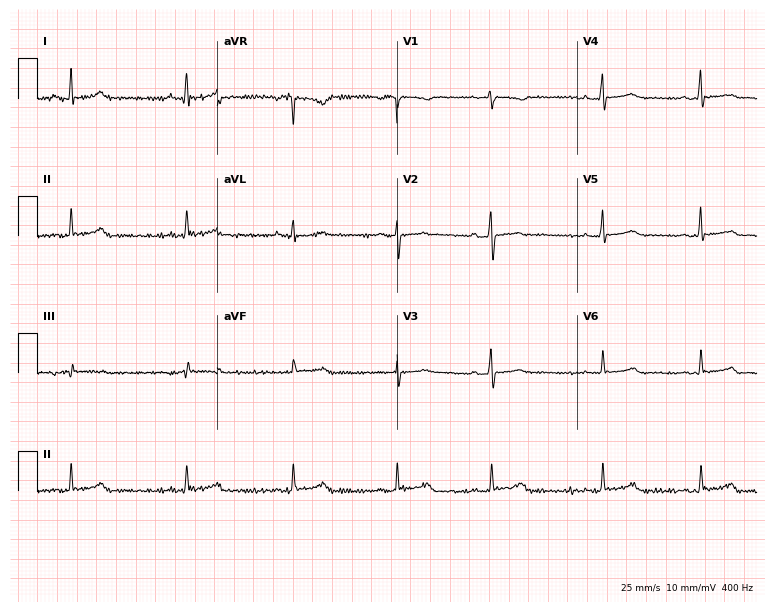
ECG — a 29-year-old female. Screened for six findings — first-degree AV block, right bundle branch block (RBBB), left bundle branch block (LBBB), sinus bradycardia, atrial fibrillation (AF), sinus tachycardia — none is recorded. Findings outside these six are not listed.